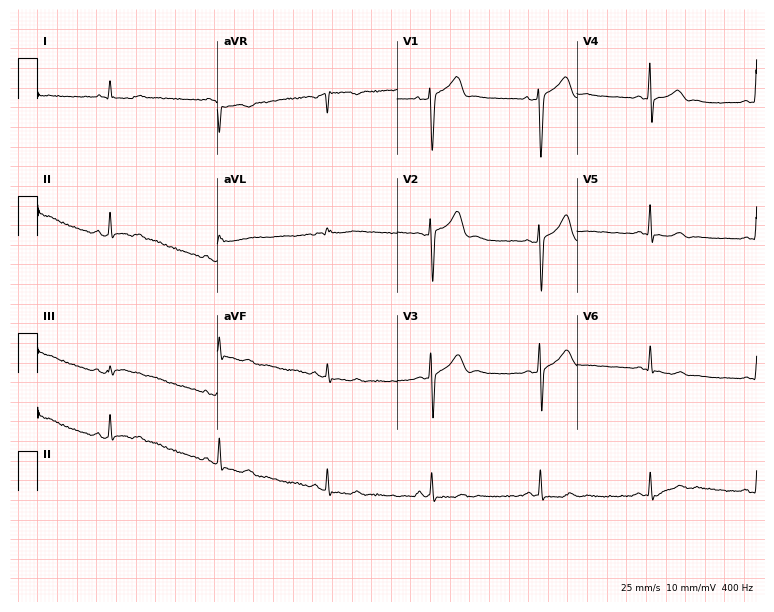
12-lead ECG from a man, 23 years old (7.3-second recording at 400 Hz). No first-degree AV block, right bundle branch block (RBBB), left bundle branch block (LBBB), sinus bradycardia, atrial fibrillation (AF) or sinus tachycardia recorded for this tracing.